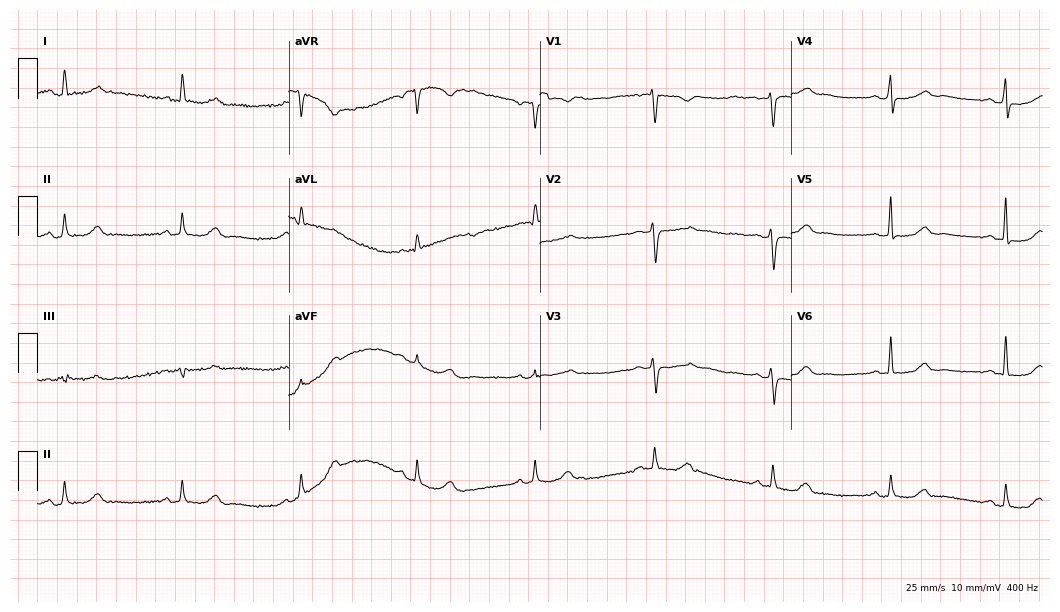
12-lead ECG from a woman, 52 years old (10.2-second recording at 400 Hz). No first-degree AV block, right bundle branch block (RBBB), left bundle branch block (LBBB), sinus bradycardia, atrial fibrillation (AF) or sinus tachycardia recorded for this tracing.